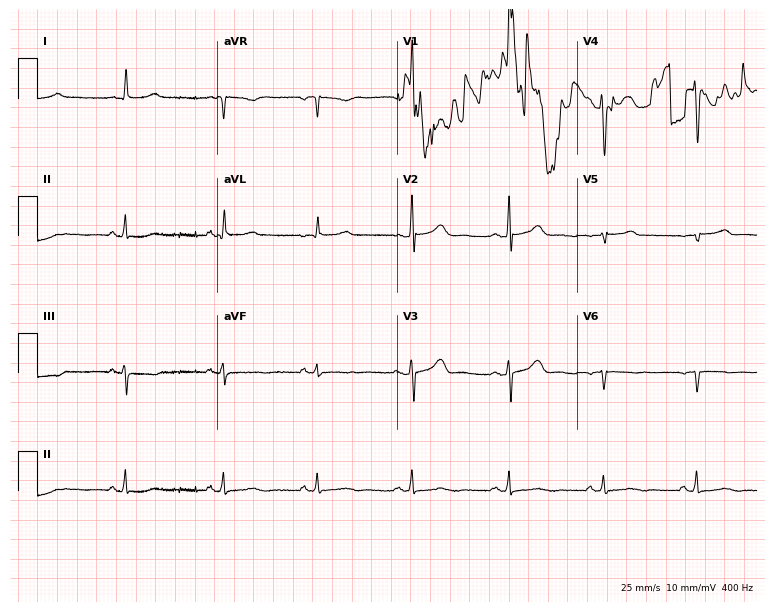
ECG — a female patient, 76 years old. Screened for six findings — first-degree AV block, right bundle branch block, left bundle branch block, sinus bradycardia, atrial fibrillation, sinus tachycardia — none is recorded. Findings outside these six are not listed.